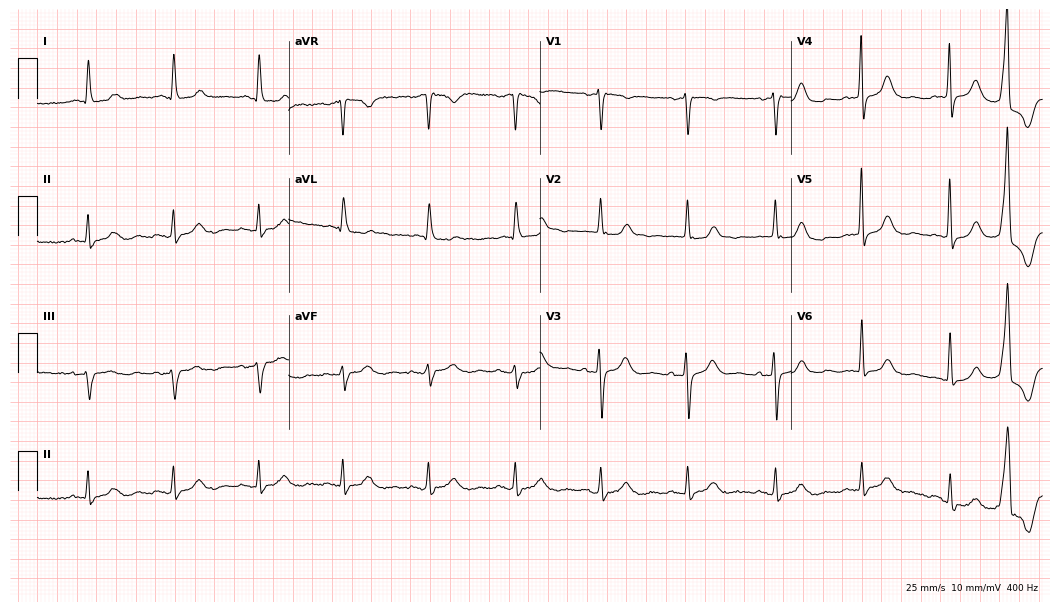
ECG — a woman, 89 years old. Screened for six findings — first-degree AV block, right bundle branch block (RBBB), left bundle branch block (LBBB), sinus bradycardia, atrial fibrillation (AF), sinus tachycardia — none is recorded. Findings outside these six are not listed.